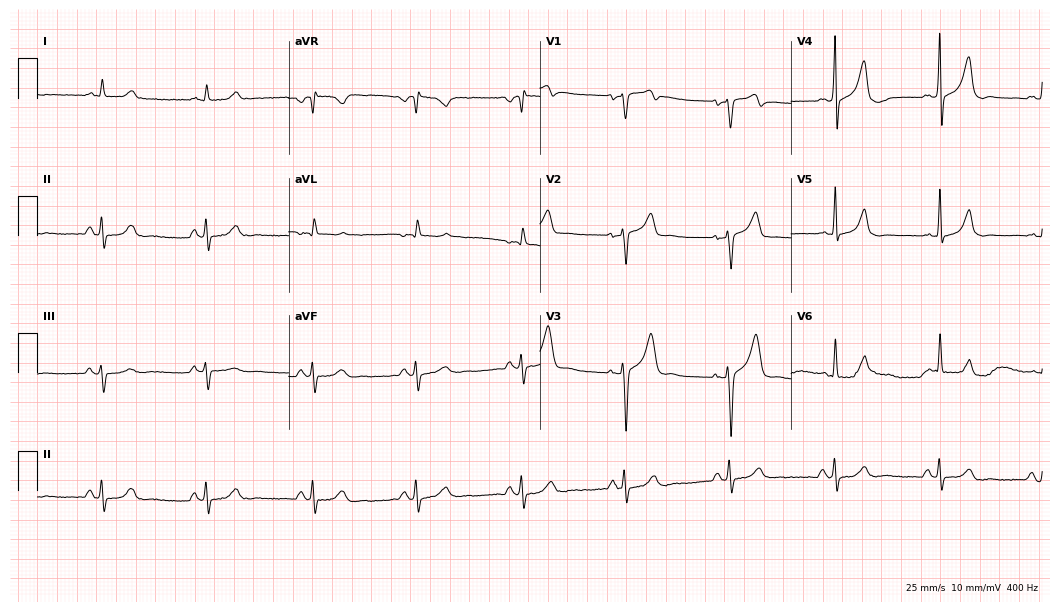
12-lead ECG from a male, 65 years old. Labelled as a normal ECG.